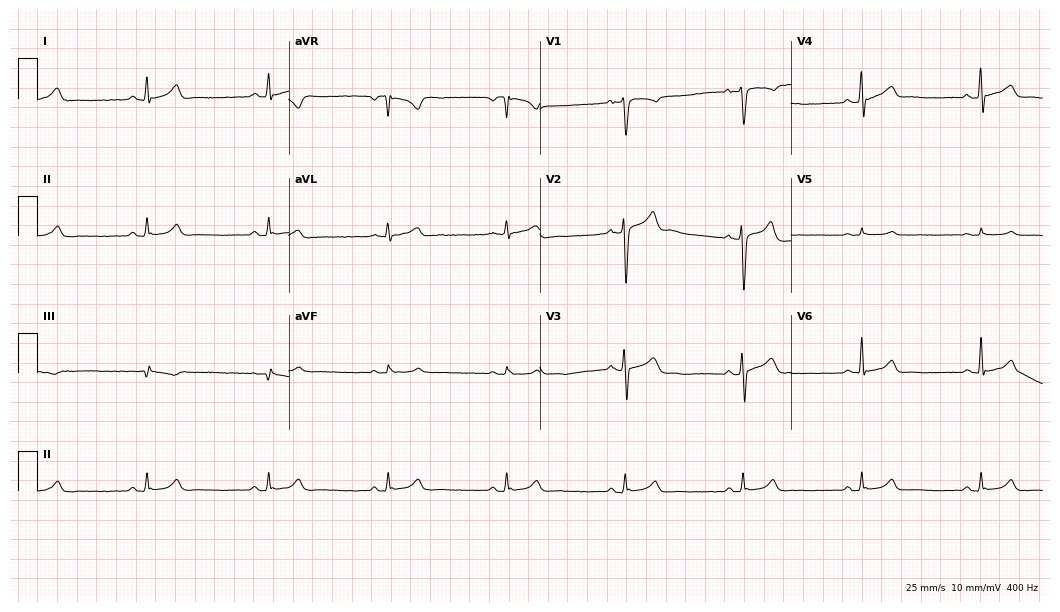
Electrocardiogram (10.2-second recording at 400 Hz), a male patient, 35 years old. Interpretation includes sinus bradycardia (a sinus rate of 50 beats per minute or less).